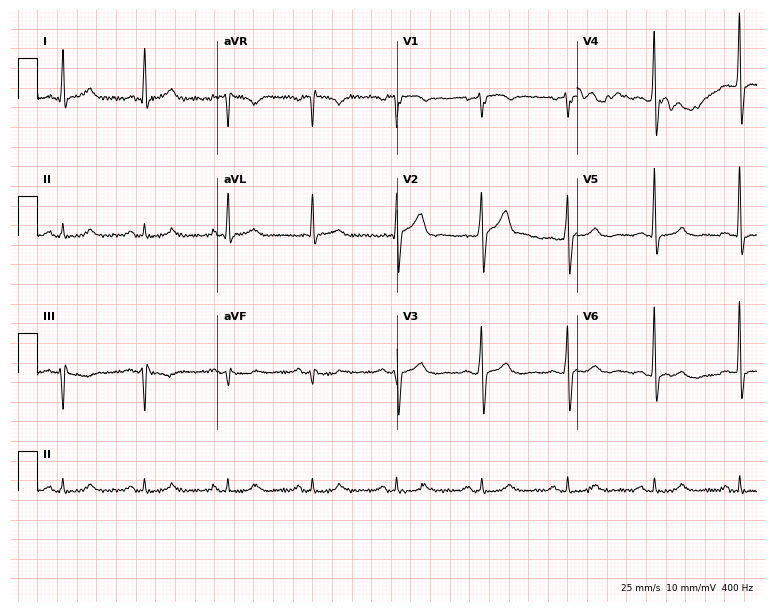
Resting 12-lead electrocardiogram (7.3-second recording at 400 Hz). Patient: a 48-year-old male. None of these six findings is recorded: first-degree AV block, right bundle branch block, left bundle branch block, sinus bradycardia, atrial fibrillation, sinus tachycardia.